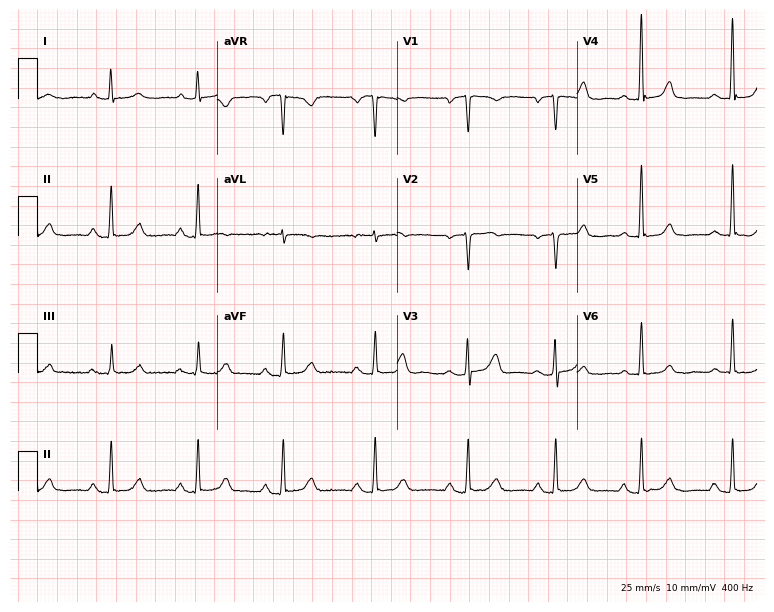
Electrocardiogram, a woman, 47 years old. Overall reading on record: normal ECG.